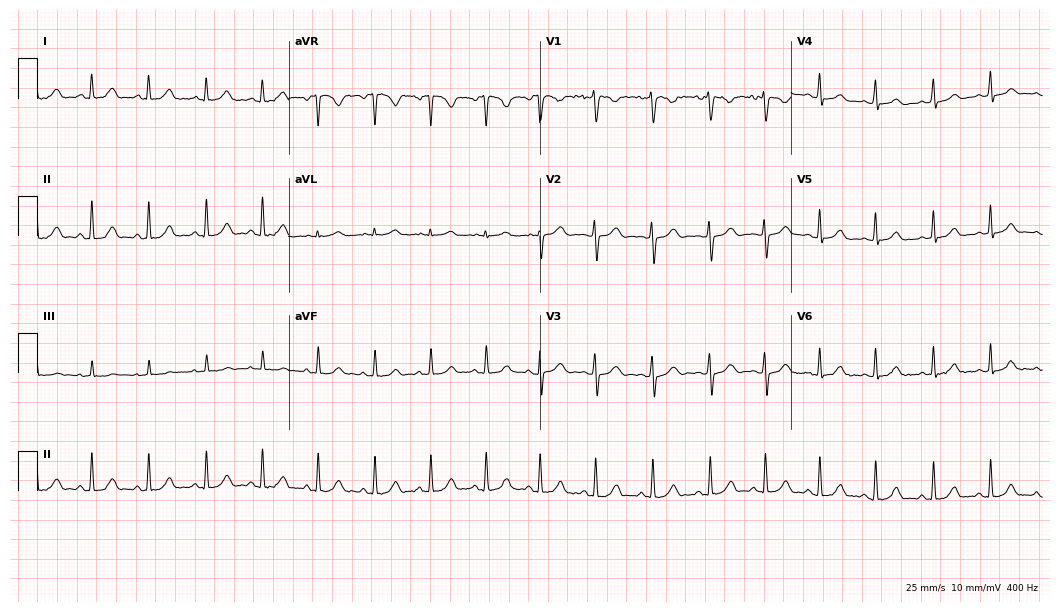
Electrocardiogram, a 19-year-old woman. Interpretation includes sinus tachycardia (a sinus rate of 100 beats per minute or more).